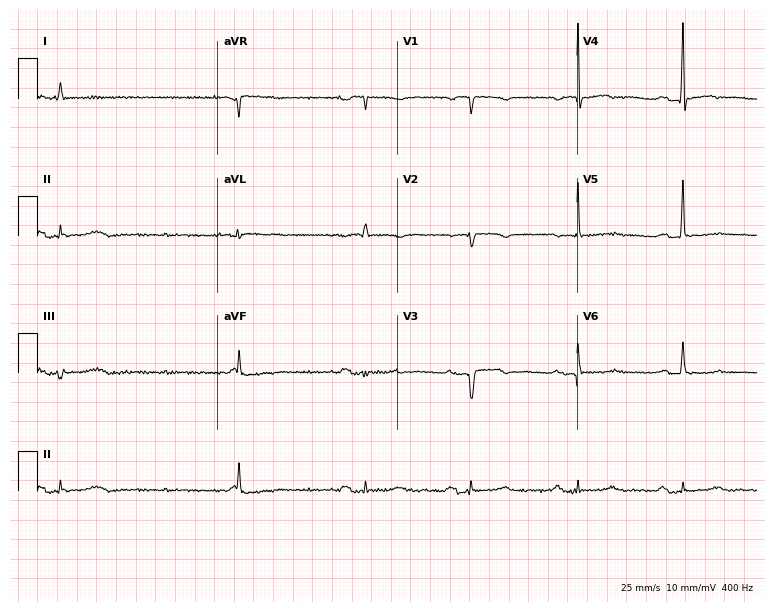
Standard 12-lead ECG recorded from a male patient, 82 years old (7.3-second recording at 400 Hz). The tracing shows first-degree AV block.